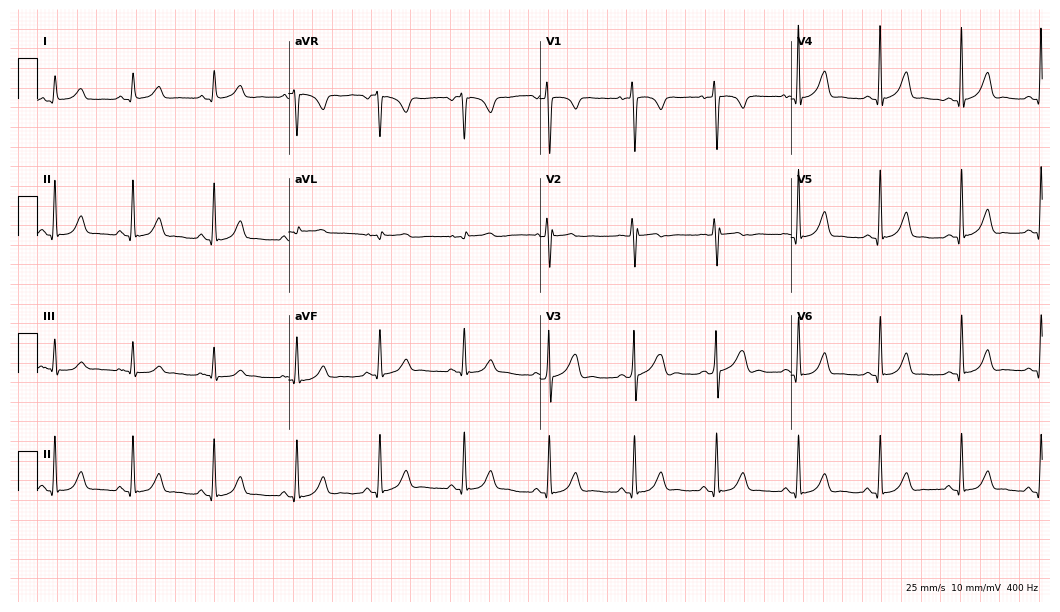
Standard 12-lead ECG recorded from a male, 69 years old (10.2-second recording at 400 Hz). Read as a normal ECG.